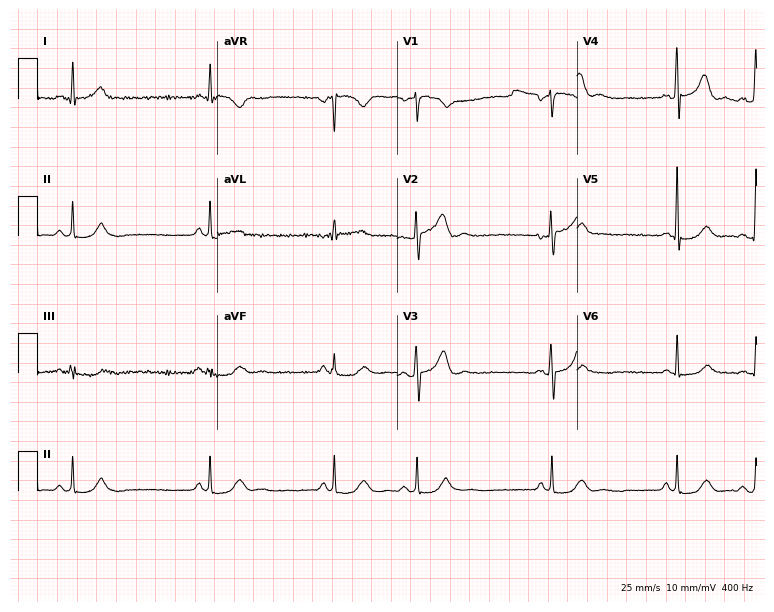
Electrocardiogram, a 43-year-old male patient. Overall reading on record: normal ECG.